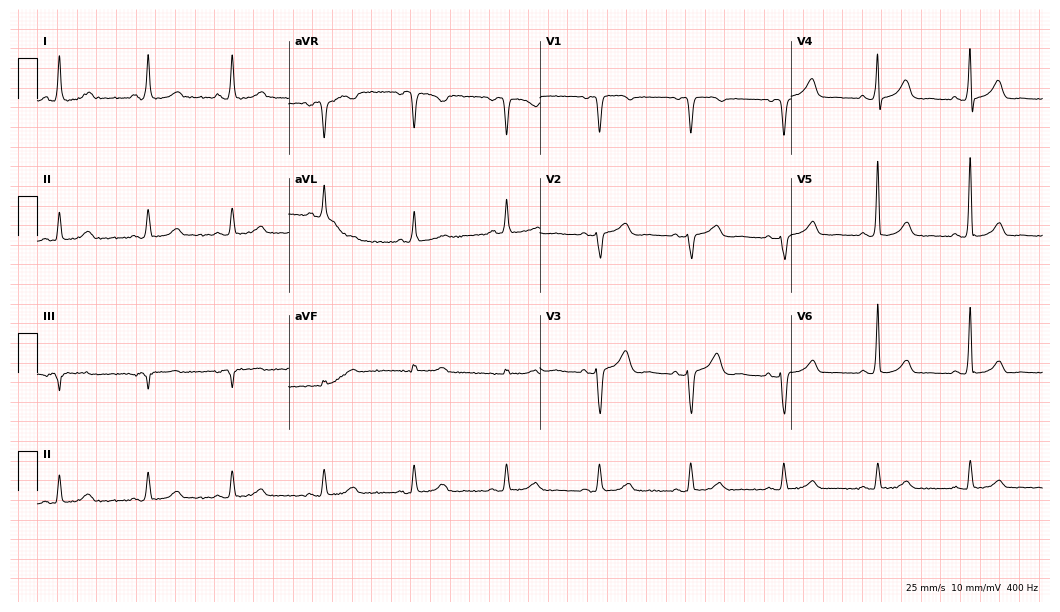
12-lead ECG from a female, 67 years old (10.2-second recording at 400 Hz). Recorded interpretation: within normal limits.